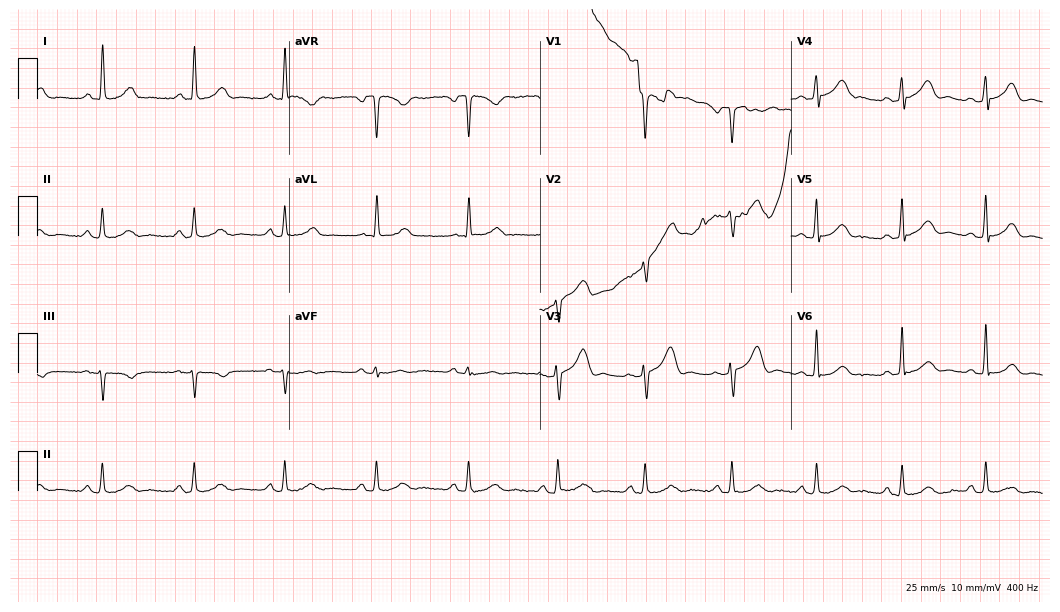
12-lead ECG from a man, 50 years old. Labelled as a normal ECG.